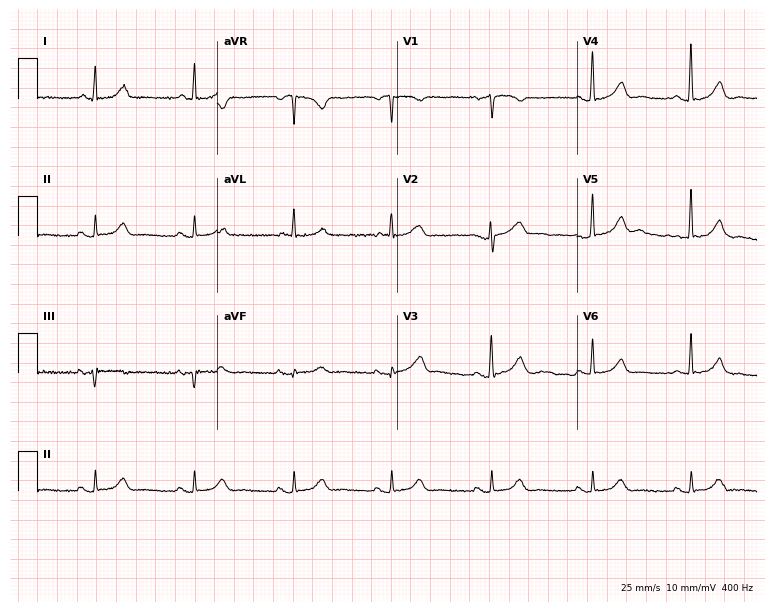
Standard 12-lead ECG recorded from a 67-year-old female. Read as a normal ECG.